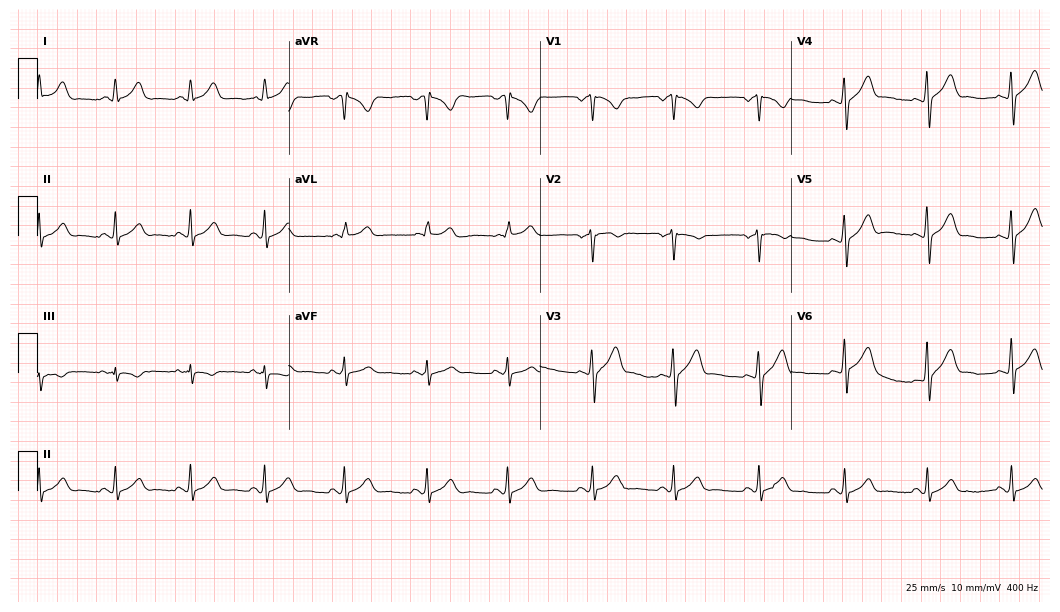
Resting 12-lead electrocardiogram. Patient: a 26-year-old man. Read as a normal ECG.